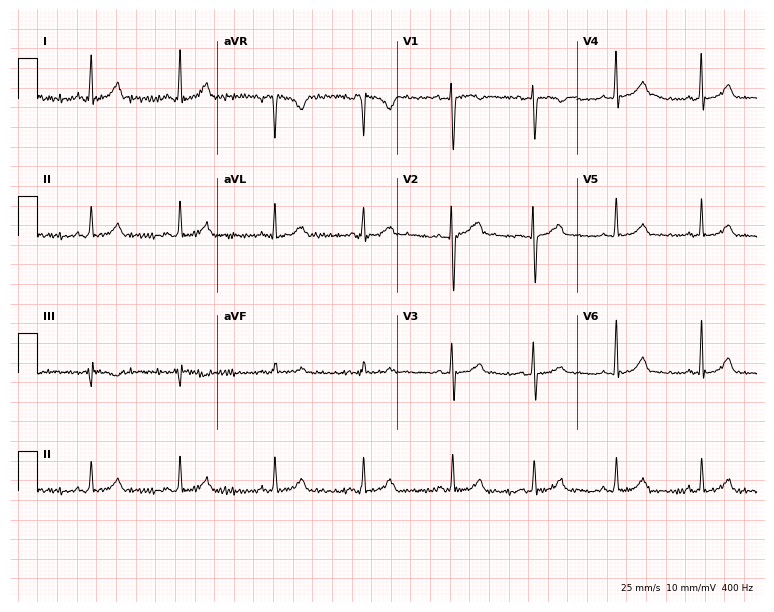
ECG — a female, 23 years old. Labelled as a normal ECG.